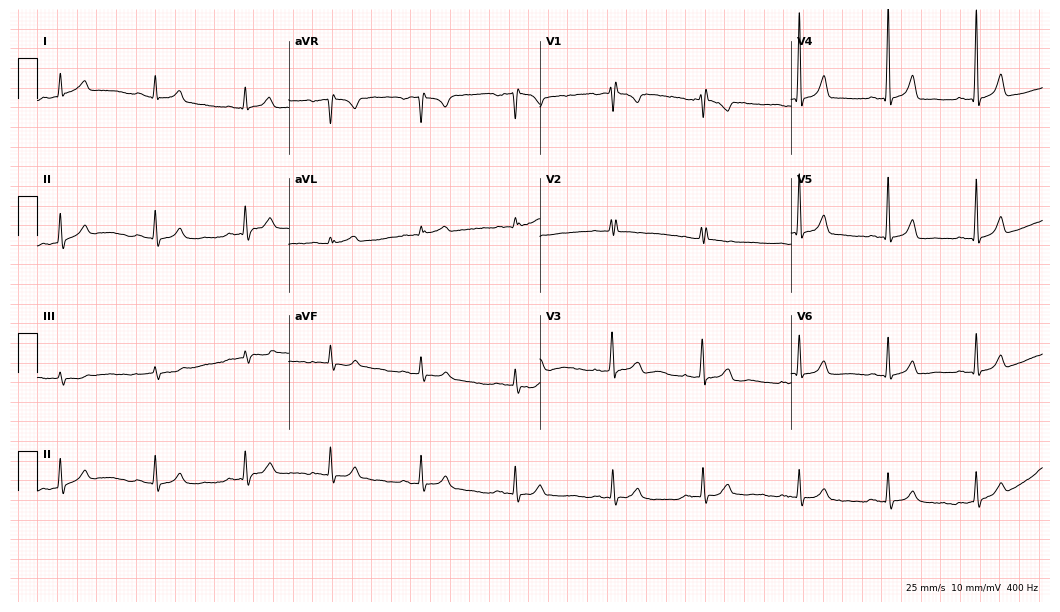
Standard 12-lead ECG recorded from a woman, 28 years old (10.2-second recording at 400 Hz). Read as a normal ECG.